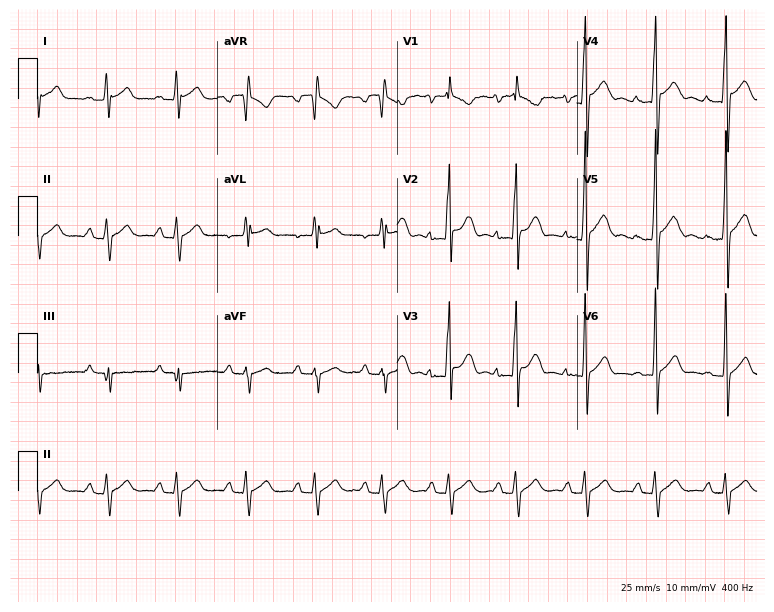
12-lead ECG from a 17-year-old male patient (7.3-second recording at 400 Hz). No first-degree AV block, right bundle branch block (RBBB), left bundle branch block (LBBB), sinus bradycardia, atrial fibrillation (AF) or sinus tachycardia recorded for this tracing.